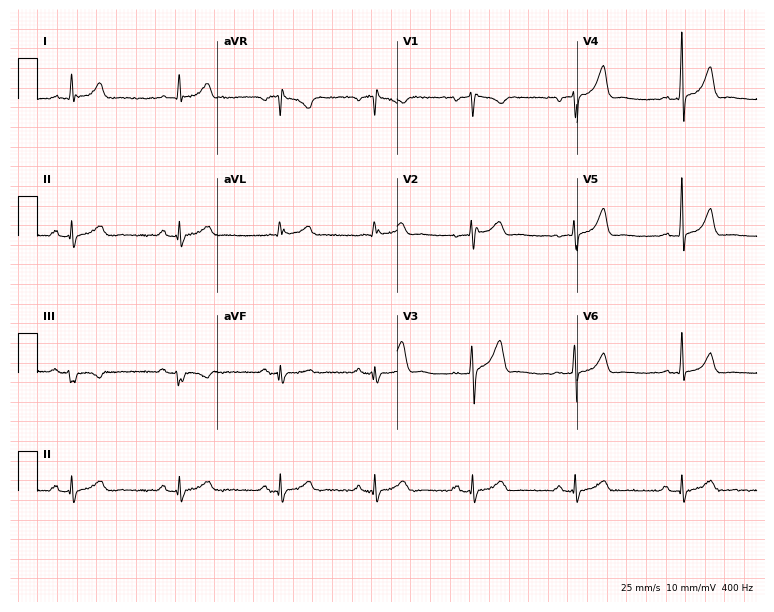
Resting 12-lead electrocardiogram. Patient: a 45-year-old male. Read as a normal ECG.